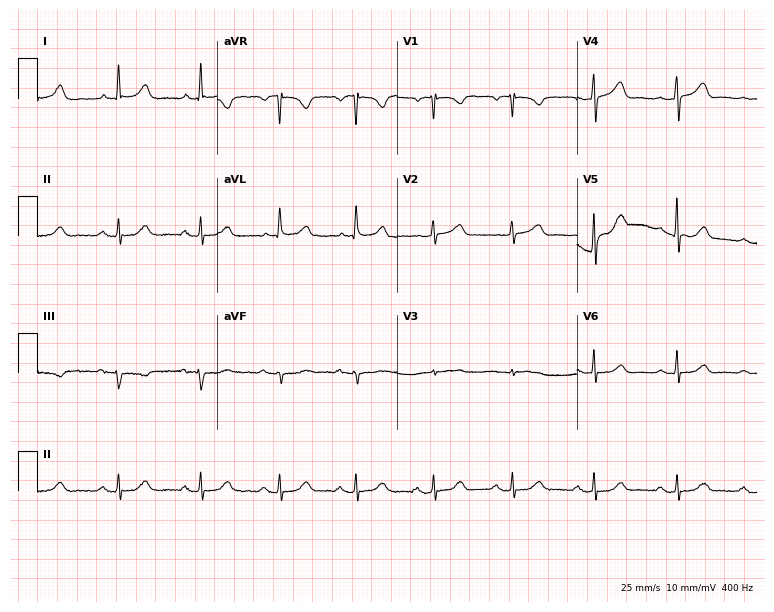
Resting 12-lead electrocardiogram. Patient: a woman, 69 years old. Read as a normal ECG.